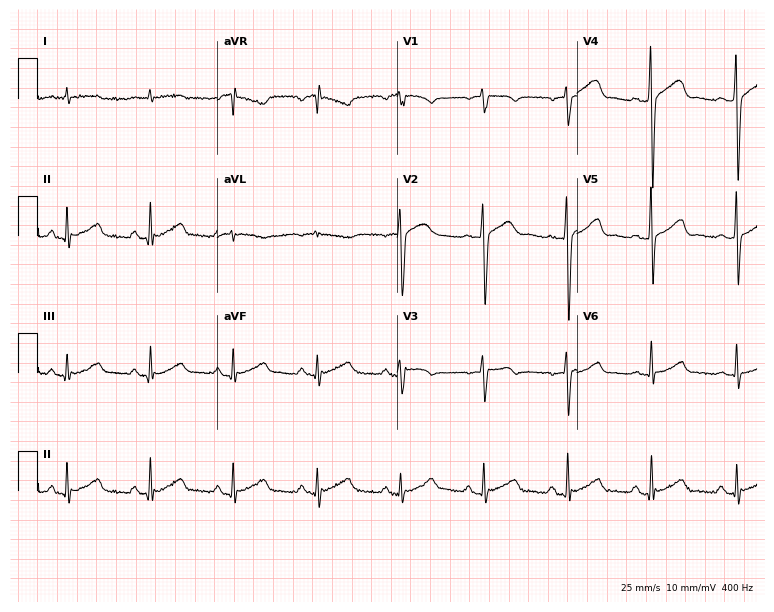
ECG — a 63-year-old female patient. Labelled as a normal ECG.